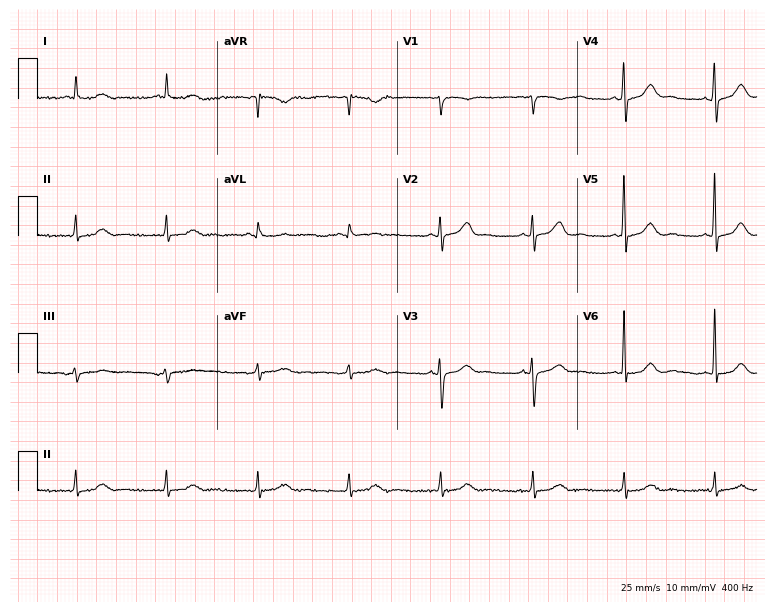
Electrocardiogram, a 76-year-old female. Overall reading on record: normal ECG.